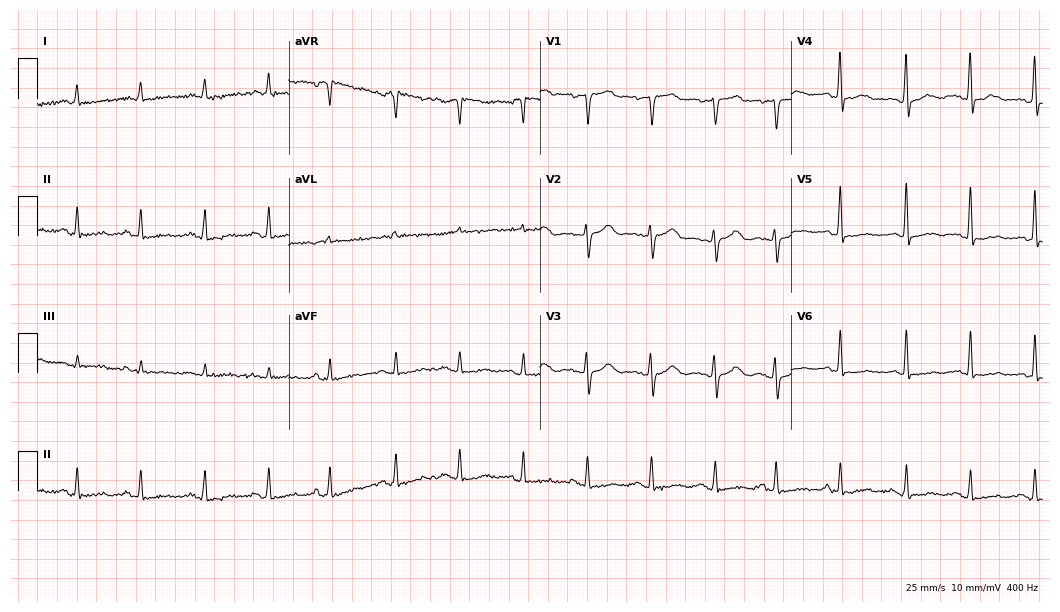
Electrocardiogram, a female patient, 67 years old. Overall reading on record: normal ECG.